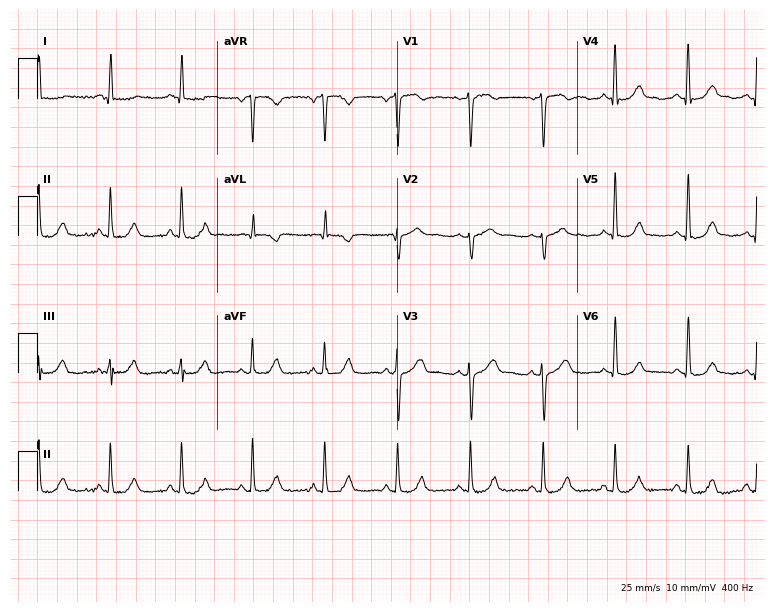
12-lead ECG from a woman, 70 years old. Screened for six findings — first-degree AV block, right bundle branch block, left bundle branch block, sinus bradycardia, atrial fibrillation, sinus tachycardia — none is recorded. Findings outside these six are not listed.